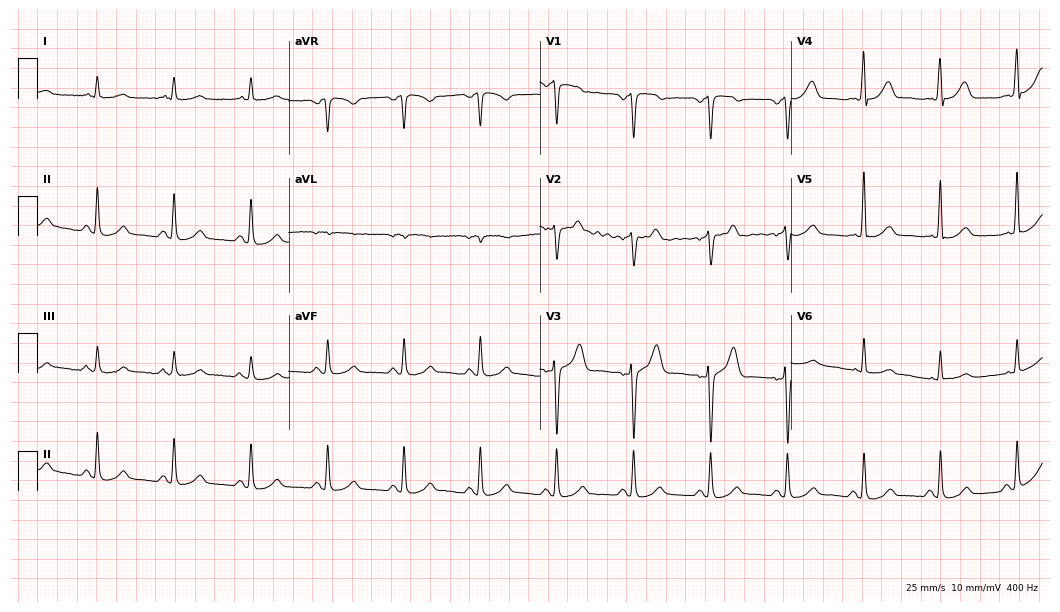
Standard 12-lead ECG recorded from a 71-year-old male patient (10.2-second recording at 400 Hz). Read as a normal ECG.